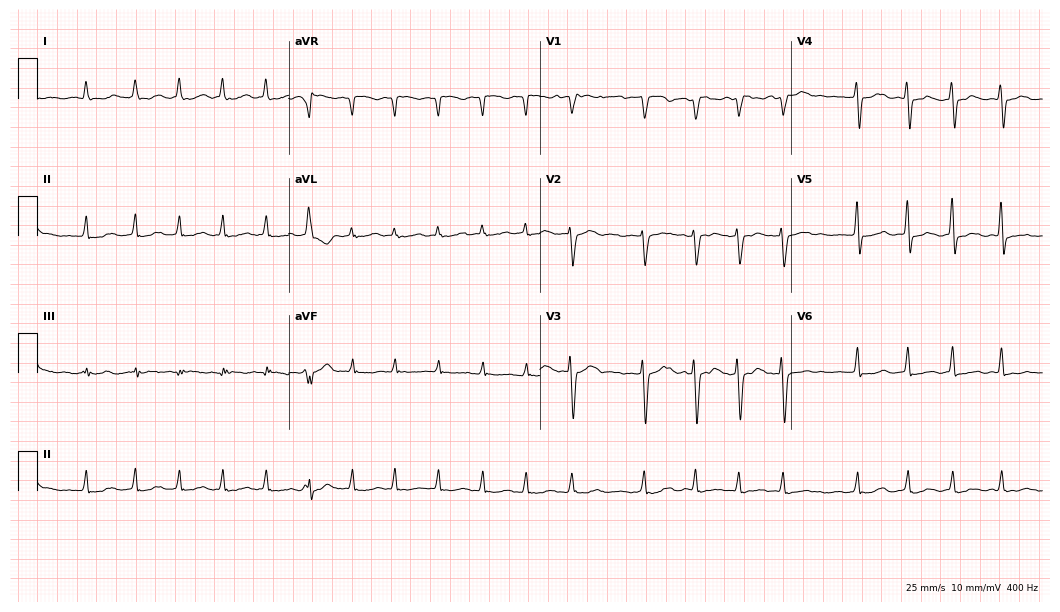
Standard 12-lead ECG recorded from an 82-year-old female patient (10.2-second recording at 400 Hz). The tracing shows atrial fibrillation.